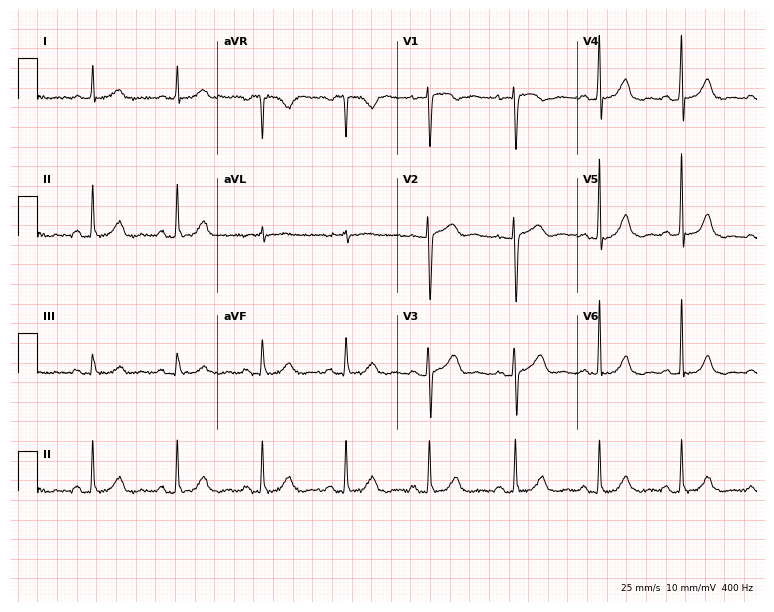
Electrocardiogram, a 58-year-old female patient. Overall reading on record: normal ECG.